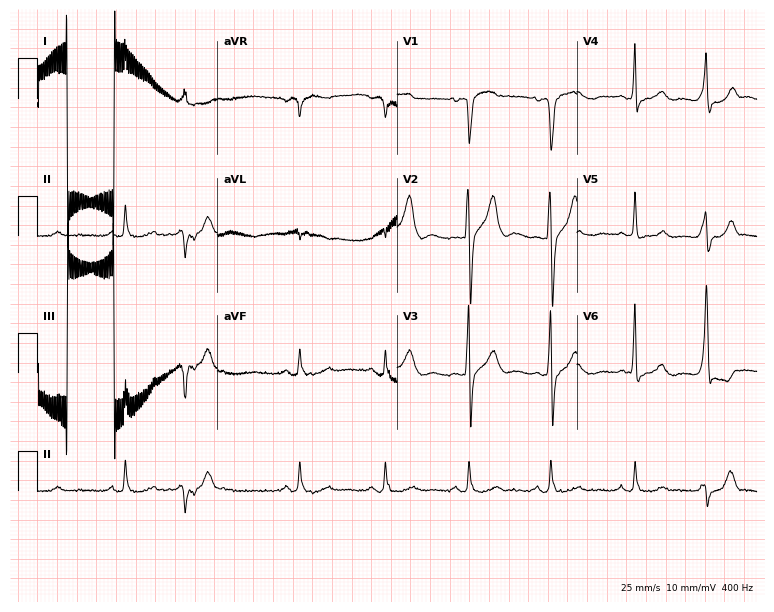
Electrocardiogram, a man, 81 years old. Of the six screened findings (first-degree AV block, right bundle branch block, left bundle branch block, sinus bradycardia, atrial fibrillation, sinus tachycardia), none is recorded. Other findings, if any, are not listed.